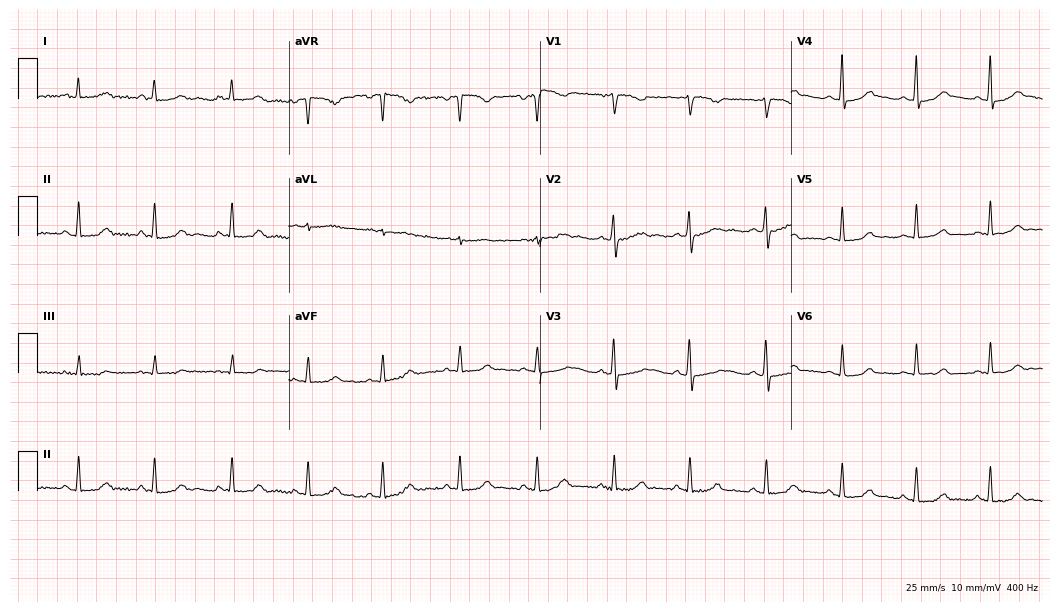
12-lead ECG from a 24-year-old woman. Labelled as a normal ECG.